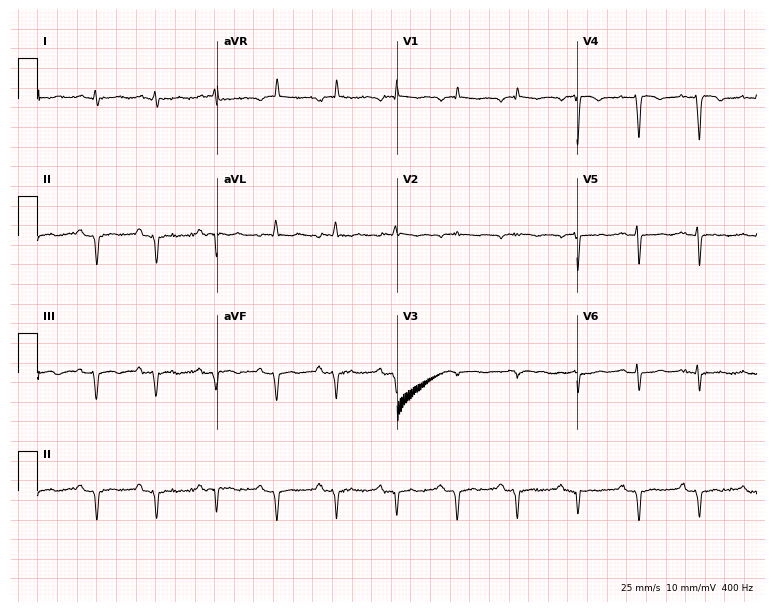
12-lead ECG from a man, 82 years old. Screened for six findings — first-degree AV block, right bundle branch block, left bundle branch block, sinus bradycardia, atrial fibrillation, sinus tachycardia — none is recorded. Only these six findings were labelled.